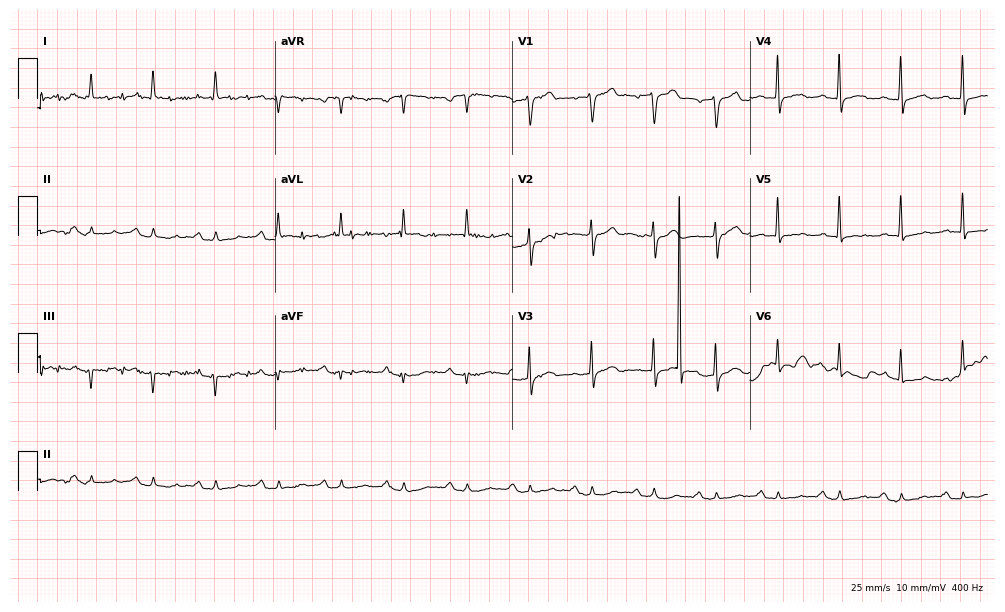
ECG — an 80-year-old woman. Screened for six findings — first-degree AV block, right bundle branch block, left bundle branch block, sinus bradycardia, atrial fibrillation, sinus tachycardia — none is recorded.